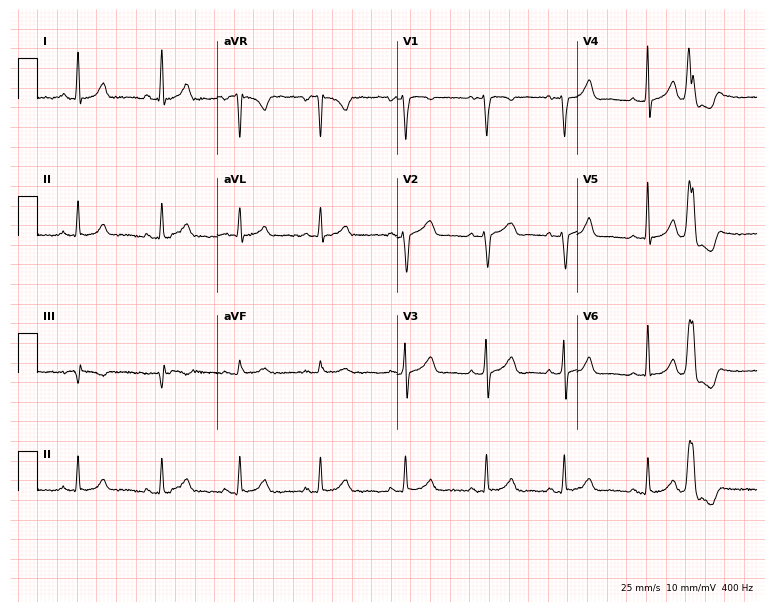
12-lead ECG from a 39-year-old woman. Screened for six findings — first-degree AV block, right bundle branch block, left bundle branch block, sinus bradycardia, atrial fibrillation, sinus tachycardia — none is recorded.